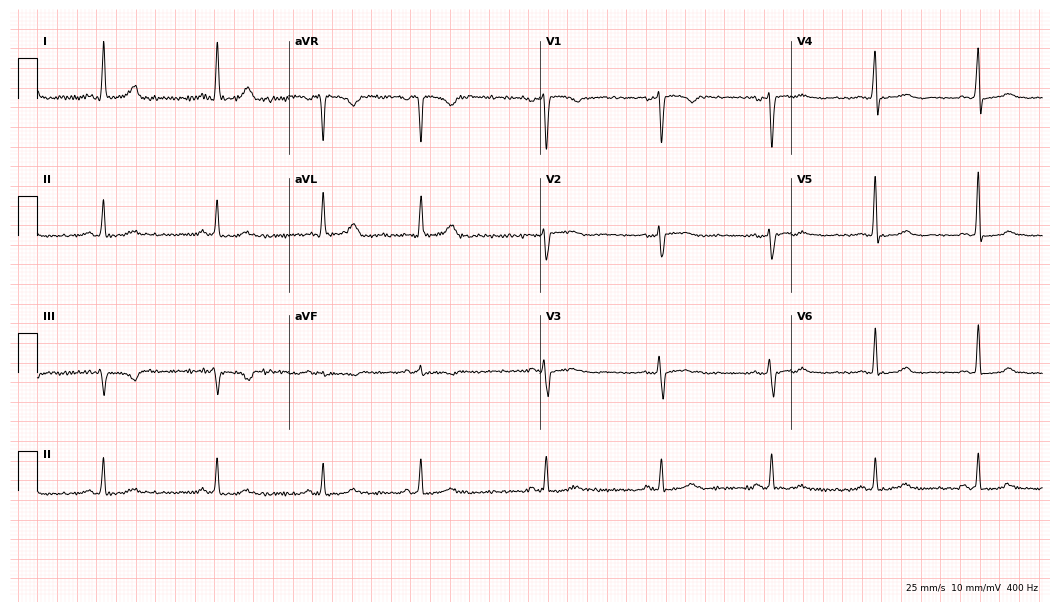
Electrocardiogram (10.2-second recording at 400 Hz), a female patient, 51 years old. Of the six screened findings (first-degree AV block, right bundle branch block, left bundle branch block, sinus bradycardia, atrial fibrillation, sinus tachycardia), none is recorded.